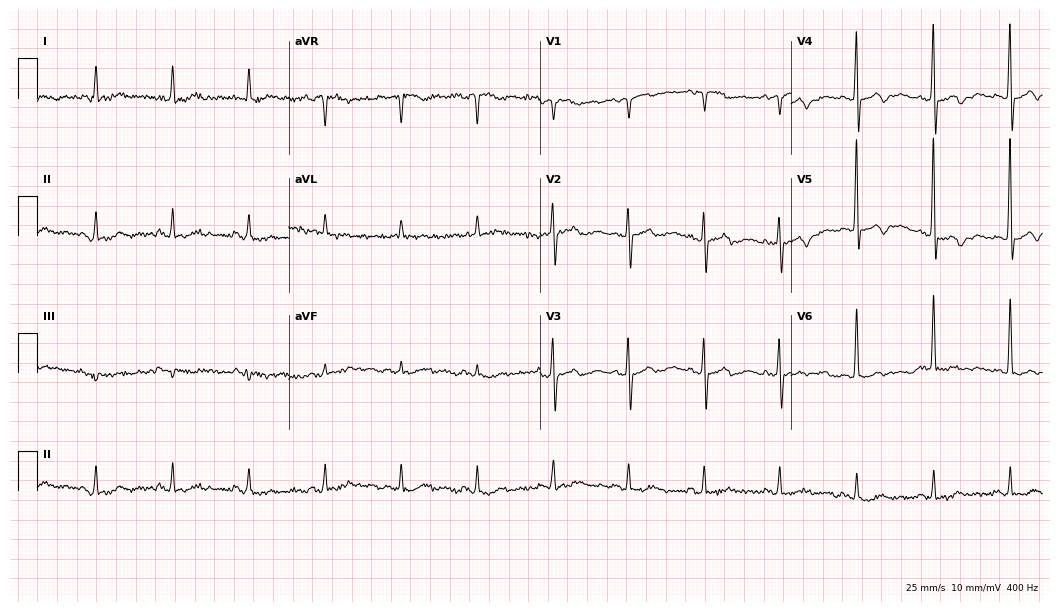
ECG — a woman, 84 years old. Screened for six findings — first-degree AV block, right bundle branch block (RBBB), left bundle branch block (LBBB), sinus bradycardia, atrial fibrillation (AF), sinus tachycardia — none is recorded.